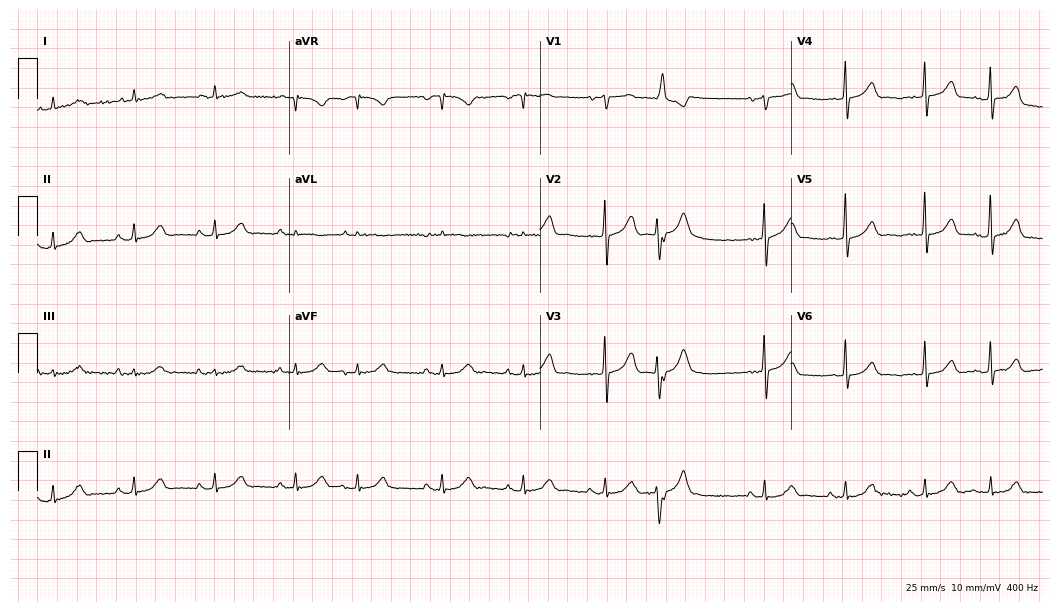
Resting 12-lead electrocardiogram. Patient: a male, 82 years old. None of these six findings is recorded: first-degree AV block, right bundle branch block, left bundle branch block, sinus bradycardia, atrial fibrillation, sinus tachycardia. Only these six findings were labelled.